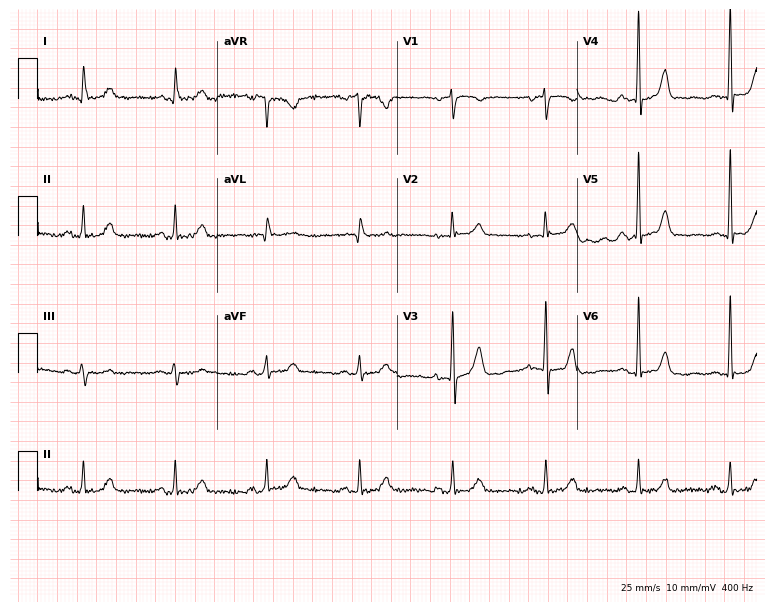
12-lead ECG (7.3-second recording at 400 Hz) from an 80-year-old male patient. Screened for six findings — first-degree AV block, right bundle branch block, left bundle branch block, sinus bradycardia, atrial fibrillation, sinus tachycardia — none is recorded. Other findings, if any, are not listed.